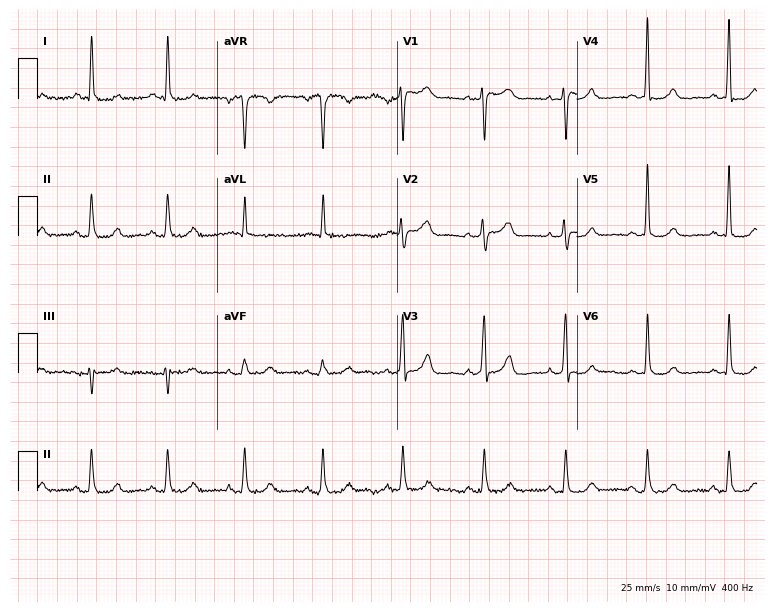
Resting 12-lead electrocardiogram. Patient: a female, 71 years old. None of these six findings is recorded: first-degree AV block, right bundle branch block, left bundle branch block, sinus bradycardia, atrial fibrillation, sinus tachycardia. Findings outside these six are not listed.